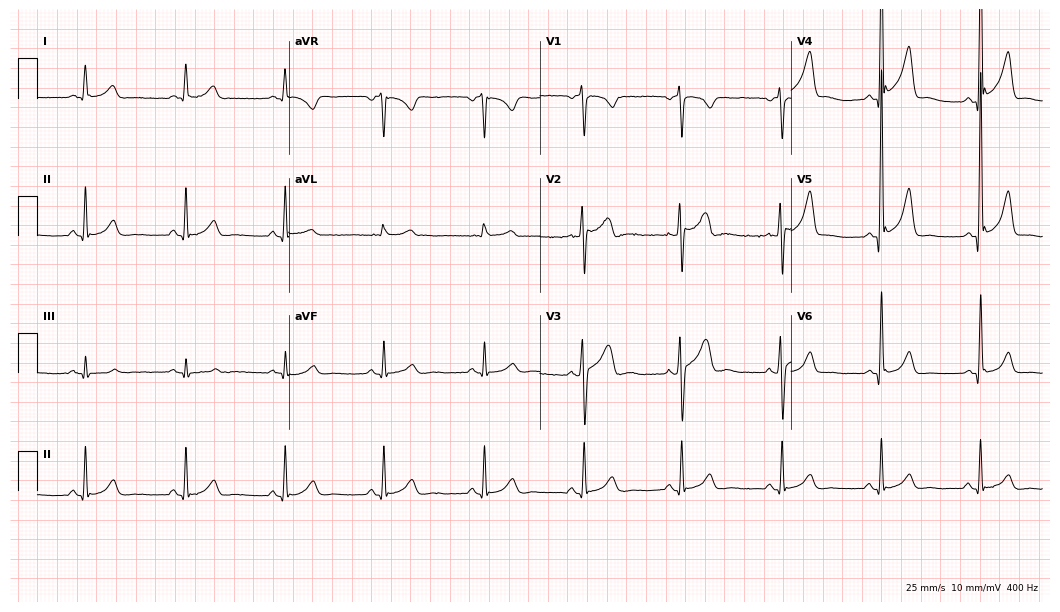
12-lead ECG from a 52-year-old male patient. Screened for six findings — first-degree AV block, right bundle branch block, left bundle branch block, sinus bradycardia, atrial fibrillation, sinus tachycardia — none is recorded. Other findings, if any, are not listed.